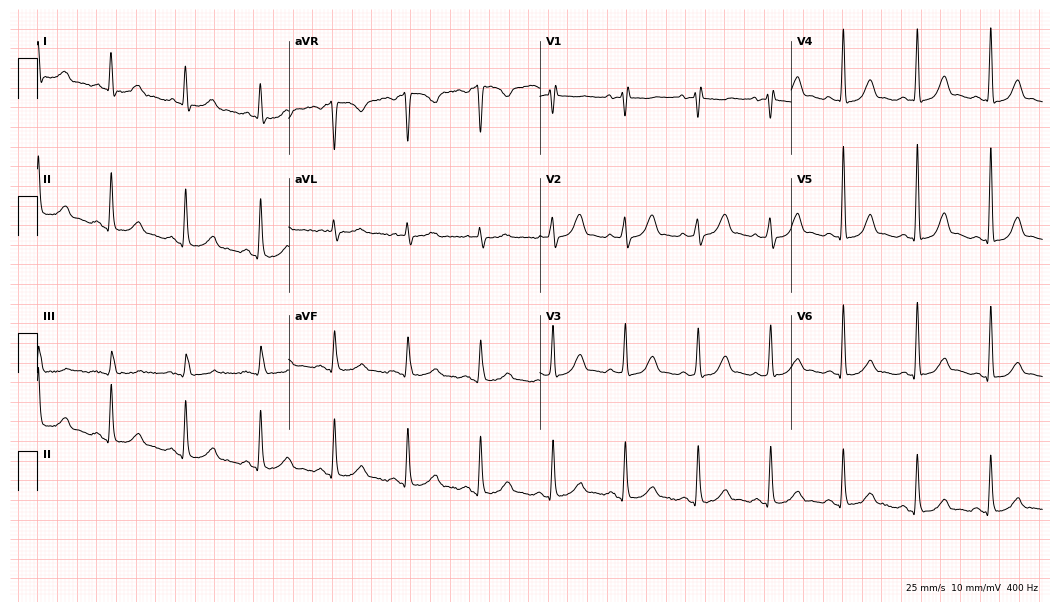
Electrocardiogram, a male patient, 67 years old. Of the six screened findings (first-degree AV block, right bundle branch block, left bundle branch block, sinus bradycardia, atrial fibrillation, sinus tachycardia), none is recorded. Only these six findings were labelled.